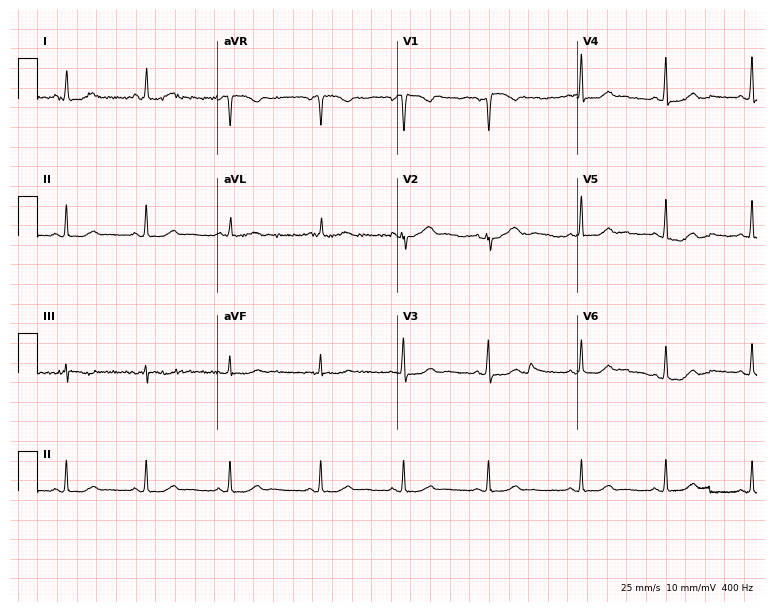
12-lead ECG (7.3-second recording at 400 Hz) from a female patient, 45 years old. Screened for six findings — first-degree AV block, right bundle branch block, left bundle branch block, sinus bradycardia, atrial fibrillation, sinus tachycardia — none is recorded.